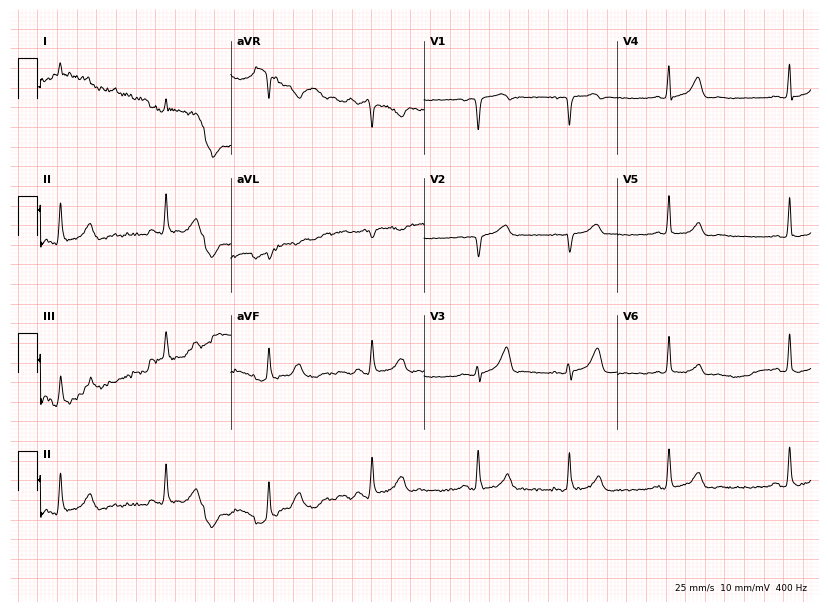
12-lead ECG (7.9-second recording at 400 Hz) from a male, 69 years old. Labelled as a normal ECG.